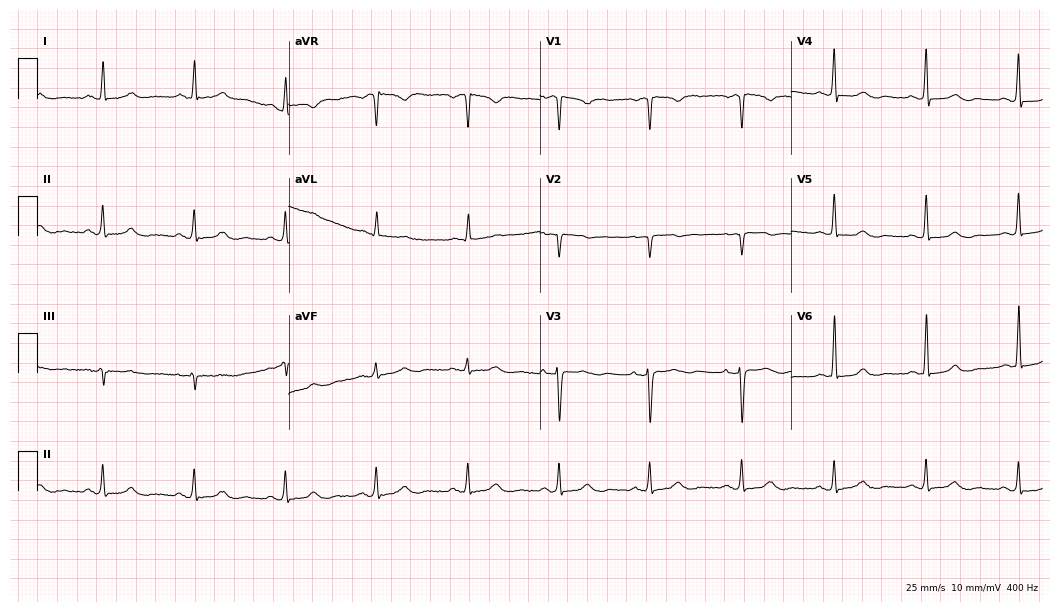
ECG — a female patient, 55 years old. Screened for six findings — first-degree AV block, right bundle branch block, left bundle branch block, sinus bradycardia, atrial fibrillation, sinus tachycardia — none is recorded. Findings outside these six are not listed.